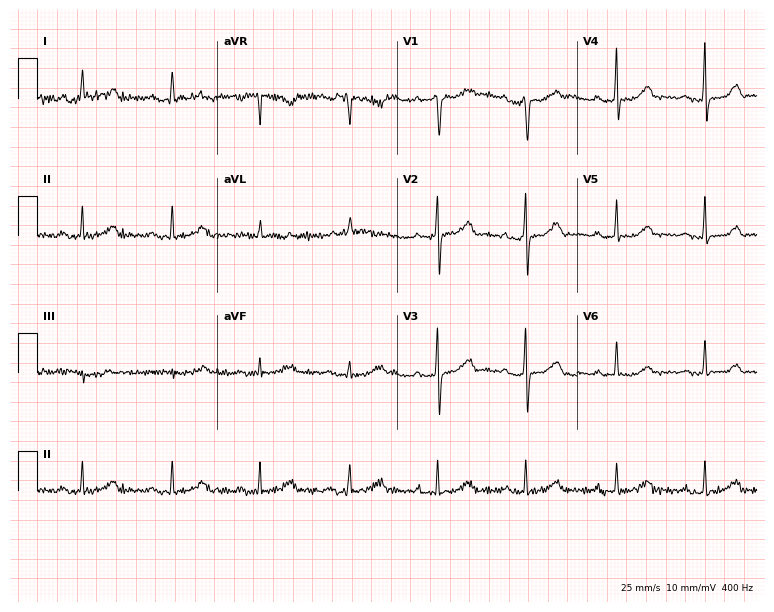
Resting 12-lead electrocardiogram. Patient: a 66-year-old female. None of these six findings is recorded: first-degree AV block, right bundle branch block, left bundle branch block, sinus bradycardia, atrial fibrillation, sinus tachycardia. Other findings, if any, are not listed.